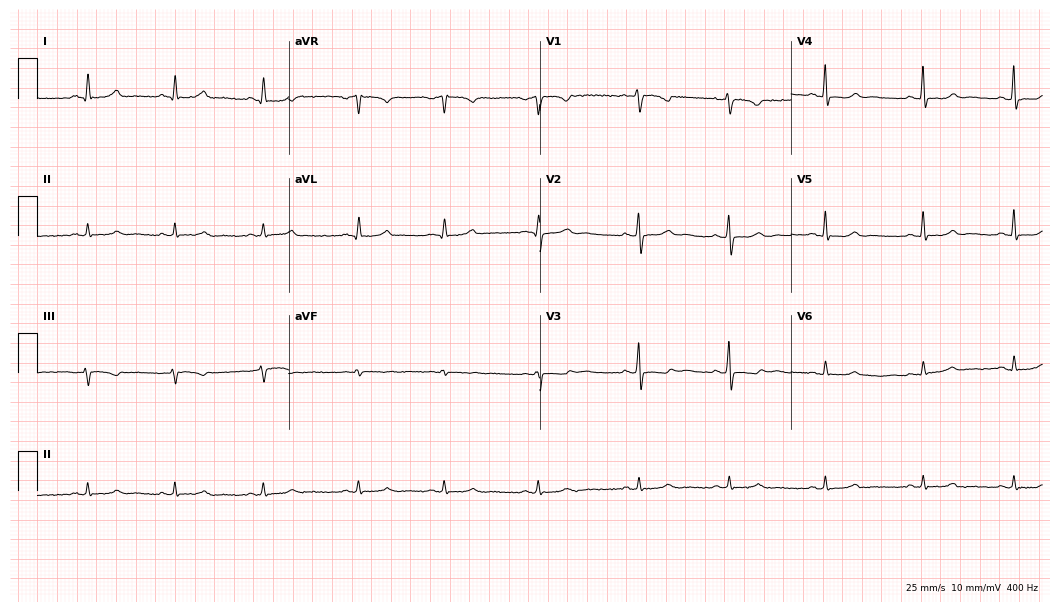
ECG — a 37-year-old female. Labelled as a normal ECG.